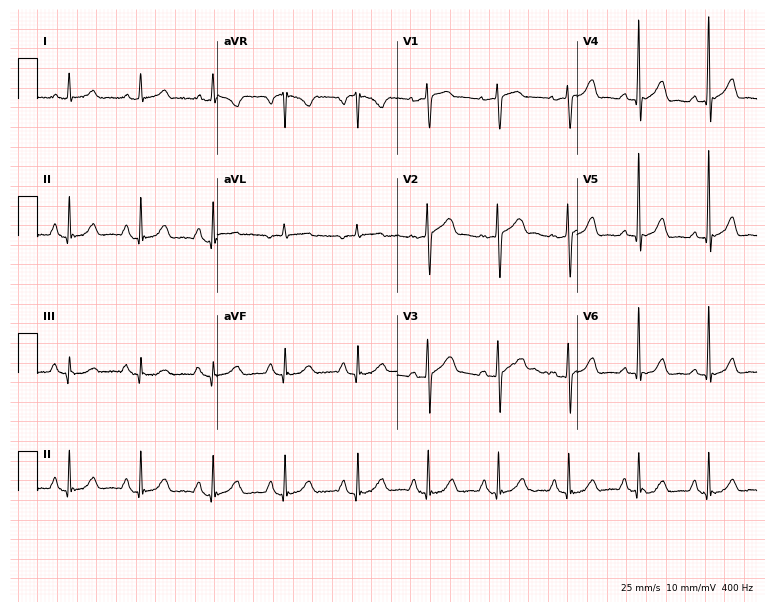
Standard 12-lead ECG recorded from a female, 63 years old (7.3-second recording at 400 Hz). None of these six findings is recorded: first-degree AV block, right bundle branch block, left bundle branch block, sinus bradycardia, atrial fibrillation, sinus tachycardia.